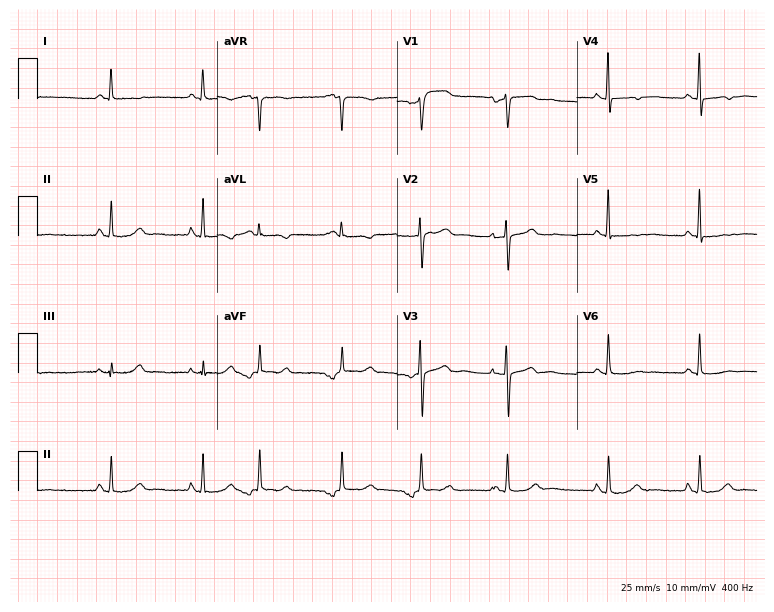
Resting 12-lead electrocardiogram (7.3-second recording at 400 Hz). Patient: a 66-year-old female. None of these six findings is recorded: first-degree AV block, right bundle branch block (RBBB), left bundle branch block (LBBB), sinus bradycardia, atrial fibrillation (AF), sinus tachycardia.